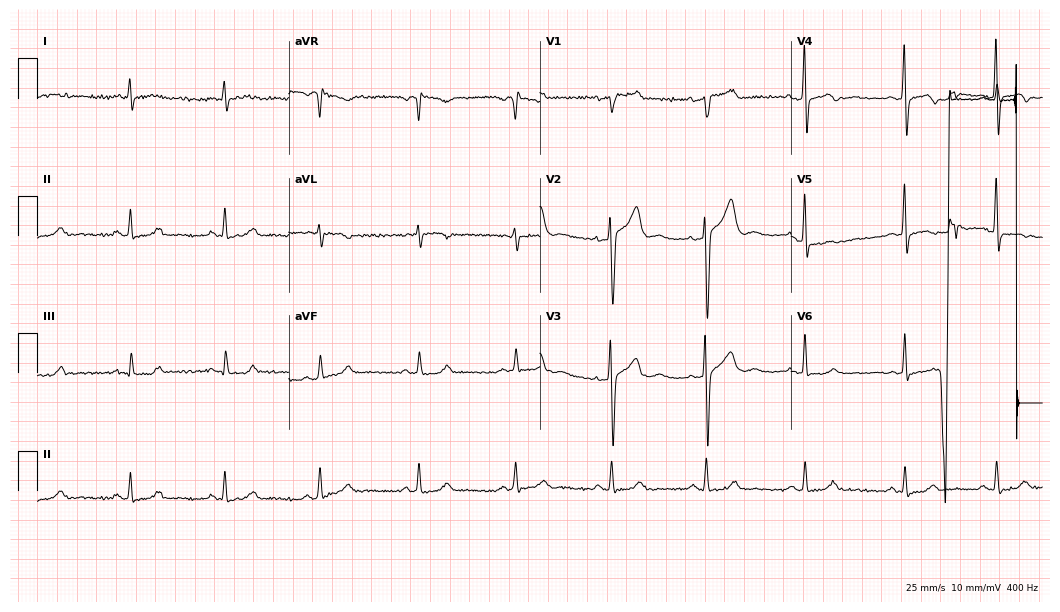
Electrocardiogram, a 53-year-old man. Overall reading on record: normal ECG.